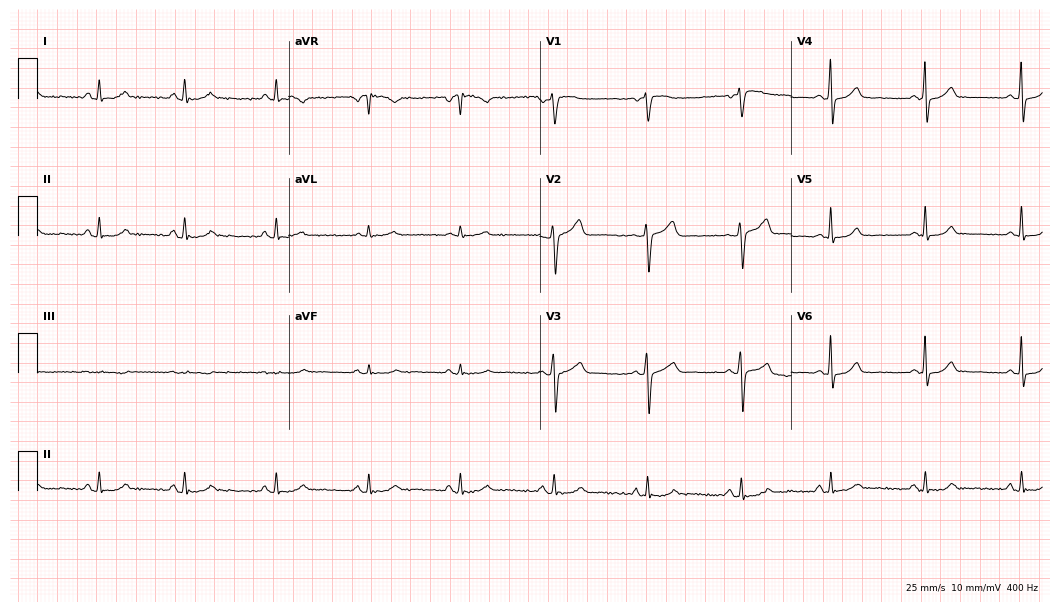
Standard 12-lead ECG recorded from a female patient, 53 years old. Read as a normal ECG.